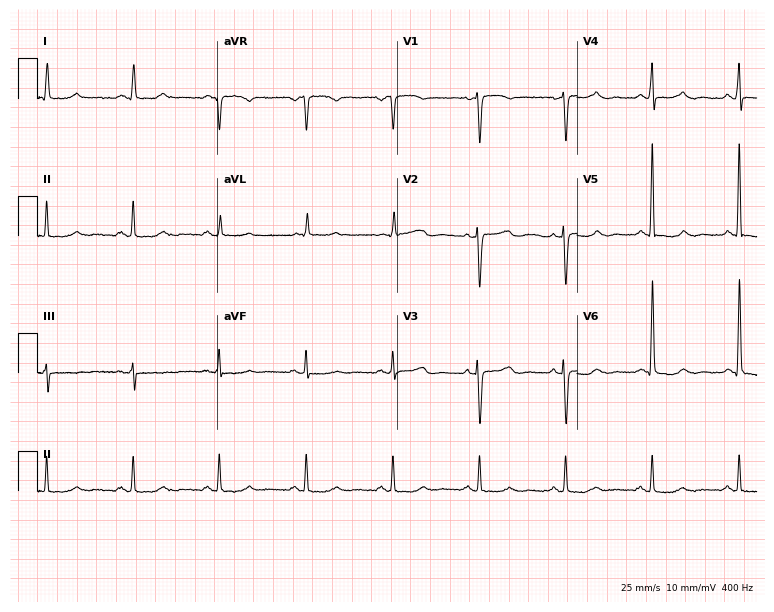
12-lead ECG from a 60-year-old woman. No first-degree AV block, right bundle branch block, left bundle branch block, sinus bradycardia, atrial fibrillation or sinus tachycardia recorded for this tracing. Findings outside these six are not listed.